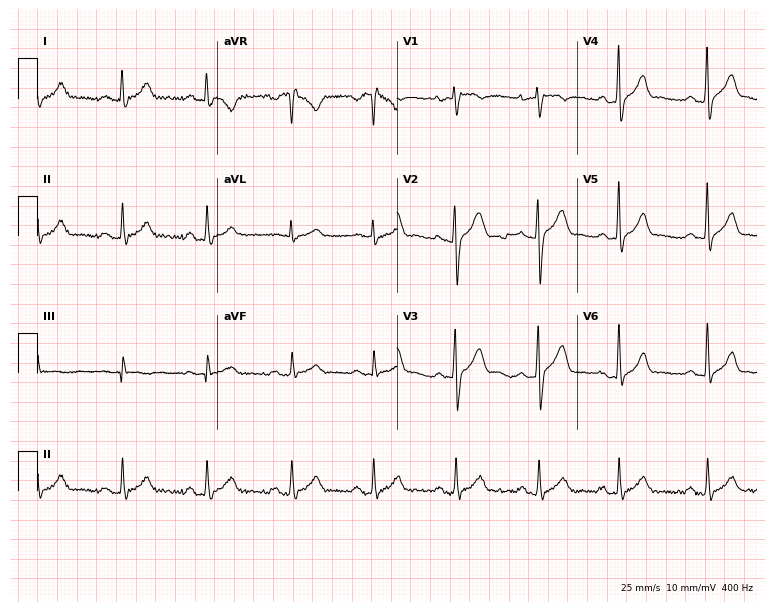
12-lead ECG (7.3-second recording at 400 Hz) from a 26-year-old male patient. Labelled as a normal ECG.